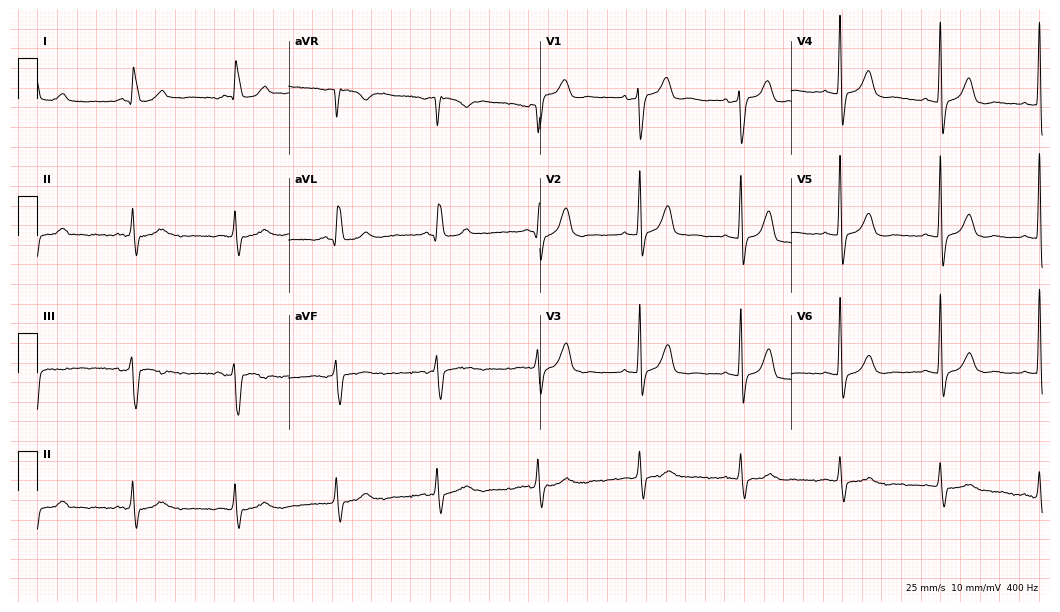
Electrocardiogram, a male, 84 years old. Of the six screened findings (first-degree AV block, right bundle branch block, left bundle branch block, sinus bradycardia, atrial fibrillation, sinus tachycardia), none is recorded.